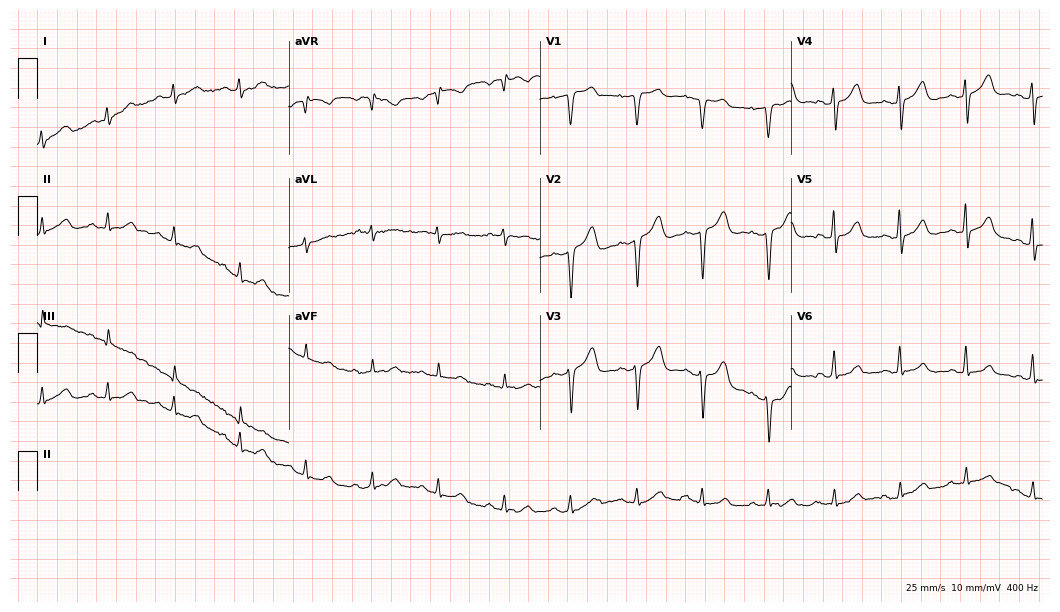
12-lead ECG from a female, 53 years old (10.2-second recording at 400 Hz). Recorded interpretation: within normal limits.